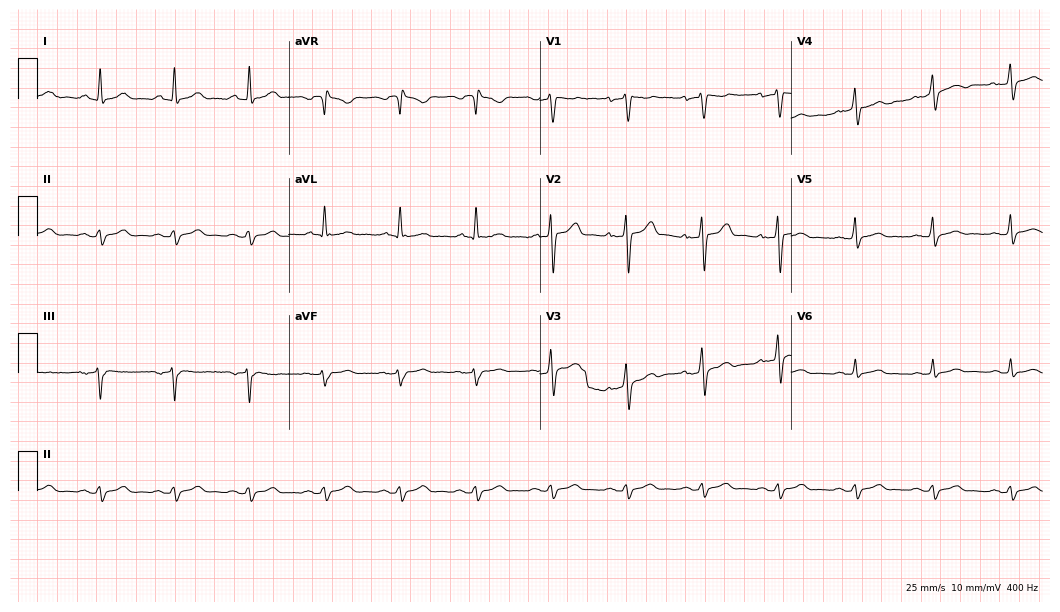
Resting 12-lead electrocardiogram (10.2-second recording at 400 Hz). Patient: a 53-year-old male. None of these six findings is recorded: first-degree AV block, right bundle branch block, left bundle branch block, sinus bradycardia, atrial fibrillation, sinus tachycardia. Other findings, if any, are not listed.